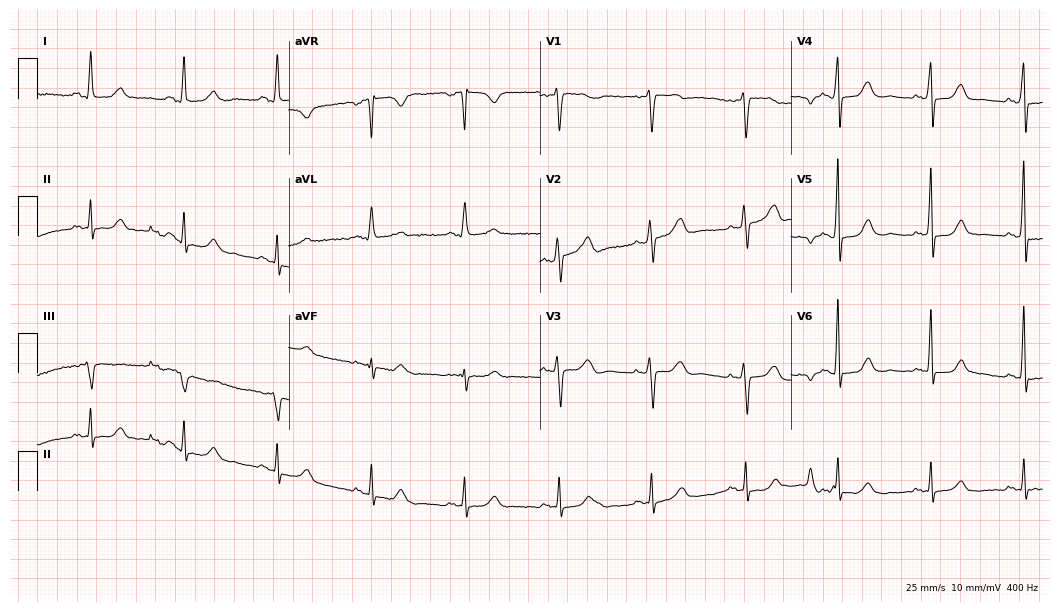
Resting 12-lead electrocardiogram. Patient: a woman, 62 years old. Read as a normal ECG.